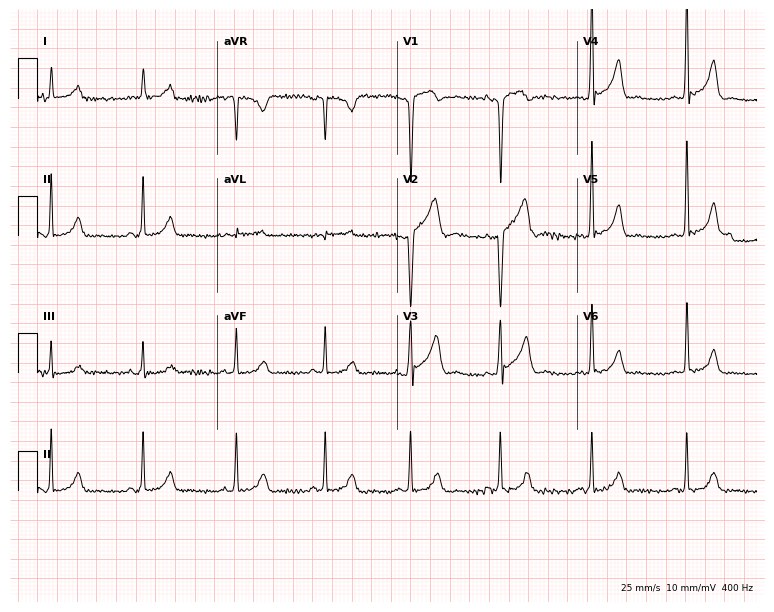
12-lead ECG from a man, 31 years old (7.3-second recording at 400 Hz). Recorded interpretation: within normal limits.